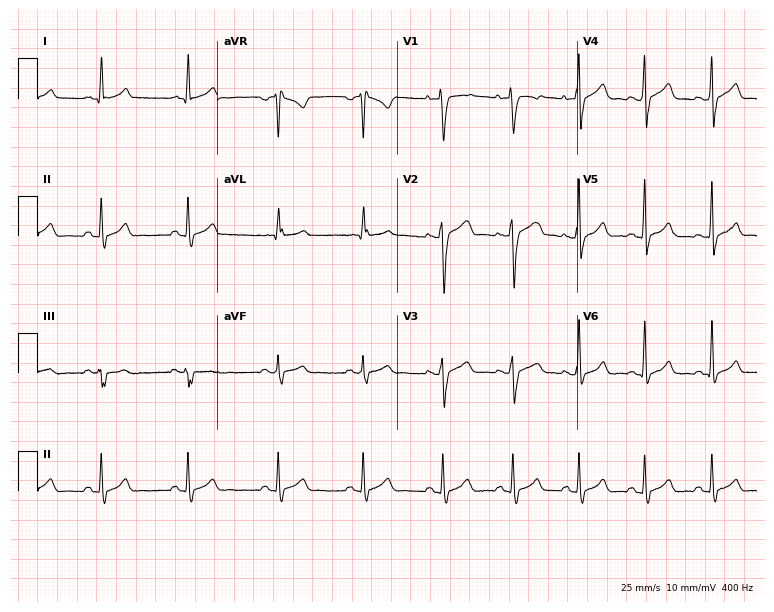
Electrocardiogram, a 28-year-old male. Overall reading on record: normal ECG.